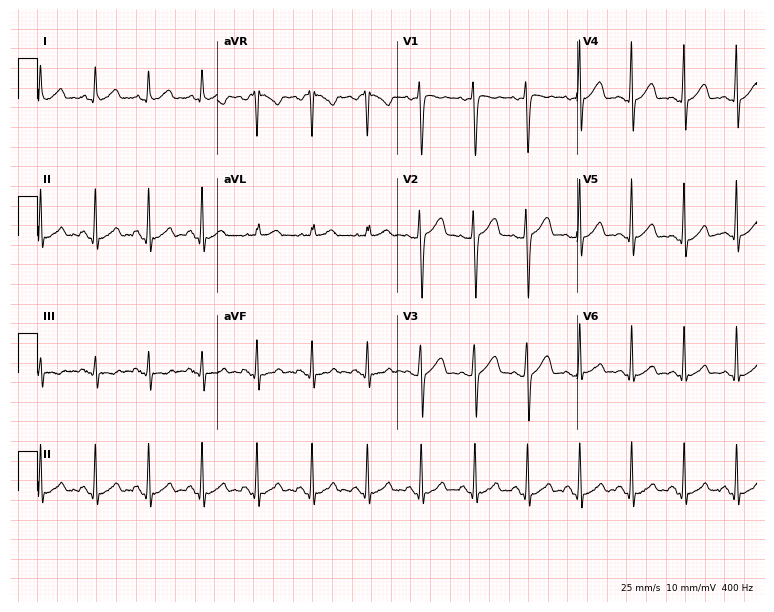
Electrocardiogram (7.3-second recording at 400 Hz), a 30-year-old female patient. Interpretation includes sinus tachycardia (a sinus rate of 100 beats per minute or more).